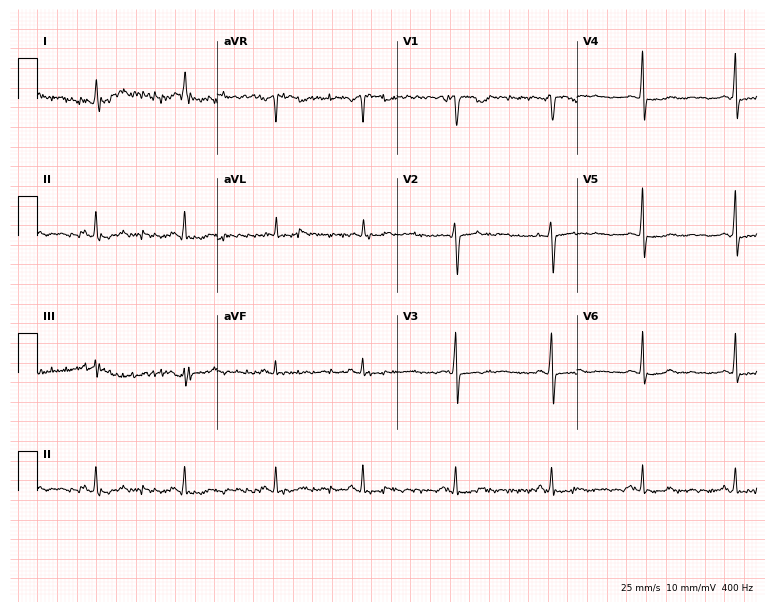
Resting 12-lead electrocardiogram. Patient: a female, 50 years old. None of these six findings is recorded: first-degree AV block, right bundle branch block, left bundle branch block, sinus bradycardia, atrial fibrillation, sinus tachycardia.